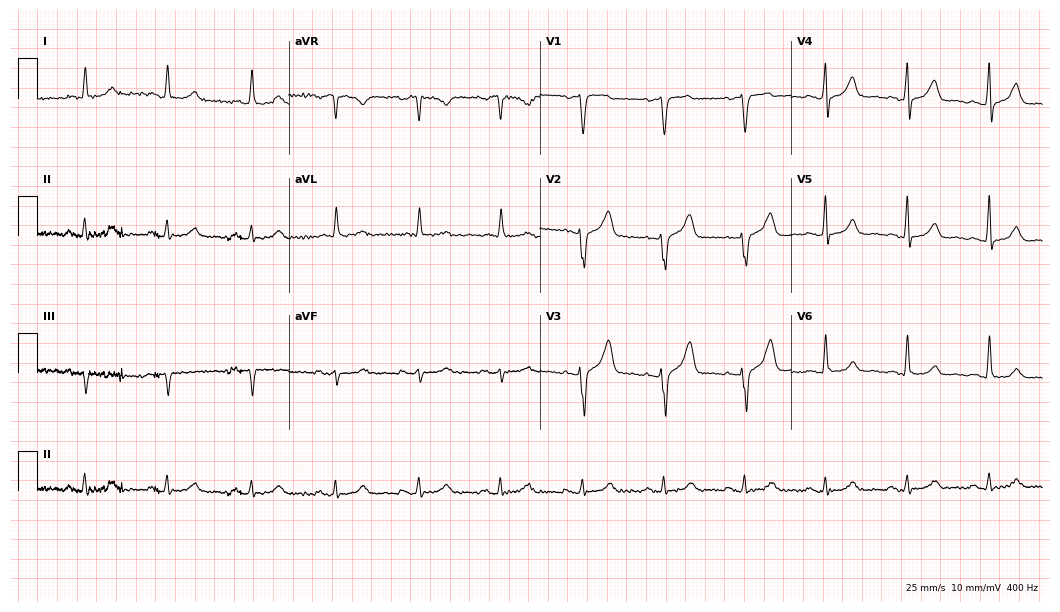
ECG (10.2-second recording at 400 Hz) — a 61-year-old male. Labelled as a normal ECG.